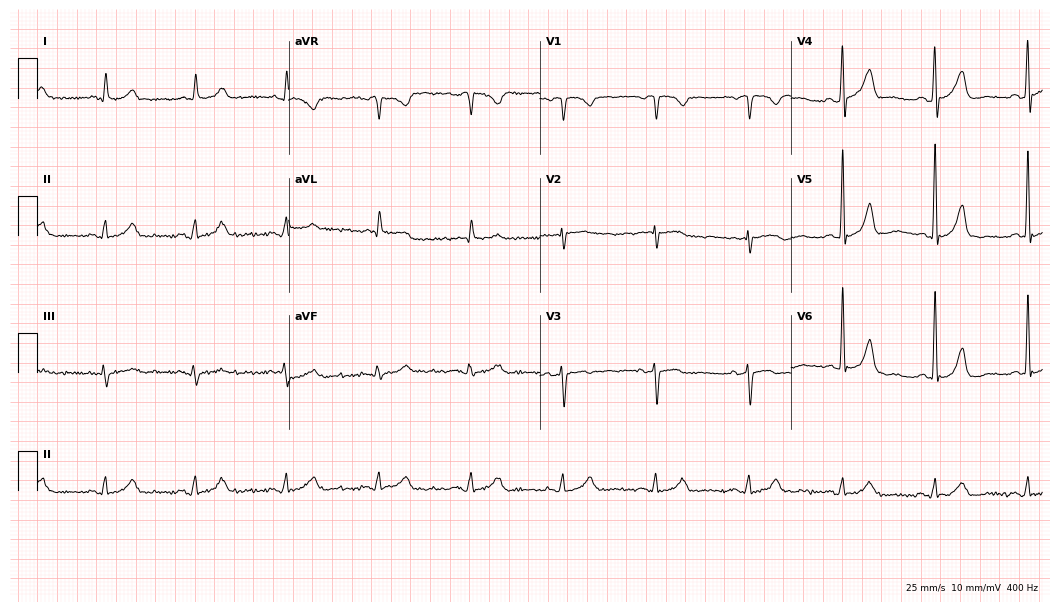
ECG — a male patient, 80 years old. Labelled as a normal ECG.